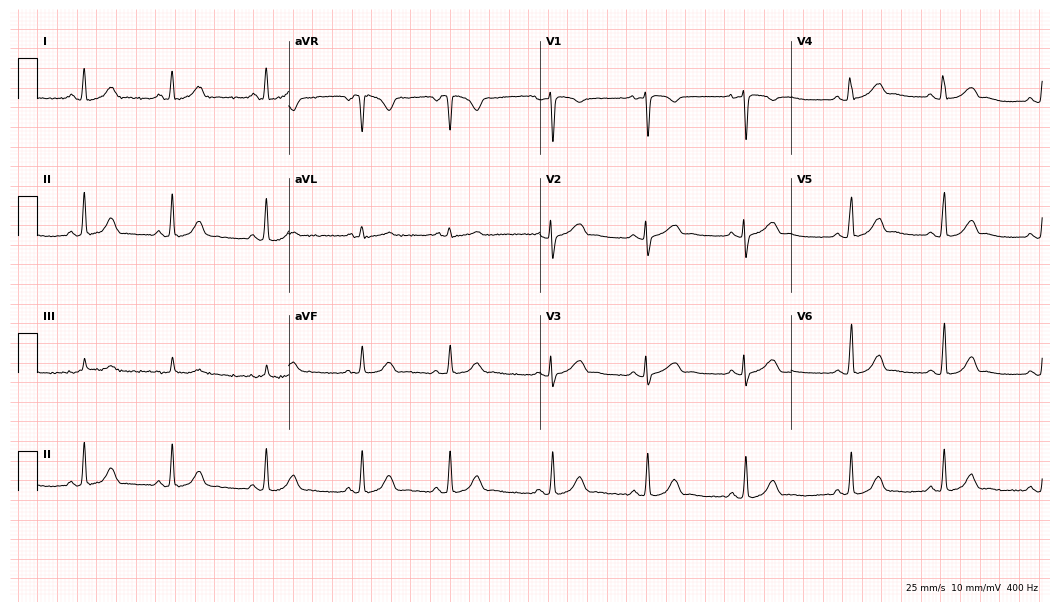
Resting 12-lead electrocardiogram. Patient: a 19-year-old female. Read as a normal ECG.